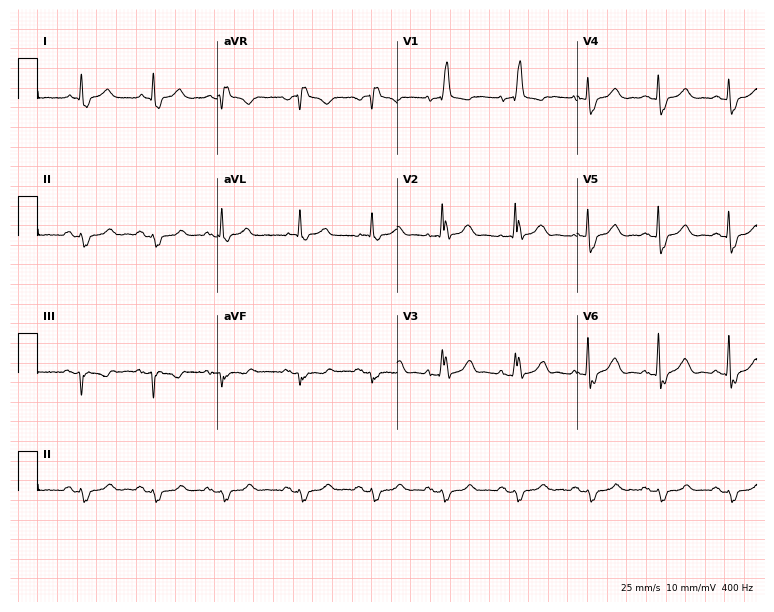
12-lead ECG from an 81-year-old male patient. Shows right bundle branch block.